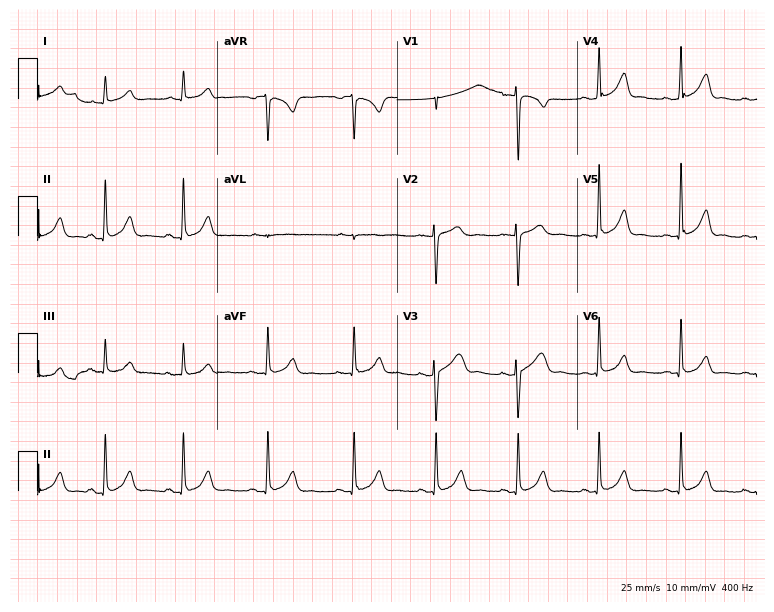
12-lead ECG from a female, 44 years old (7.3-second recording at 400 Hz). No first-degree AV block, right bundle branch block (RBBB), left bundle branch block (LBBB), sinus bradycardia, atrial fibrillation (AF) or sinus tachycardia recorded for this tracing. Only these six findings were labelled.